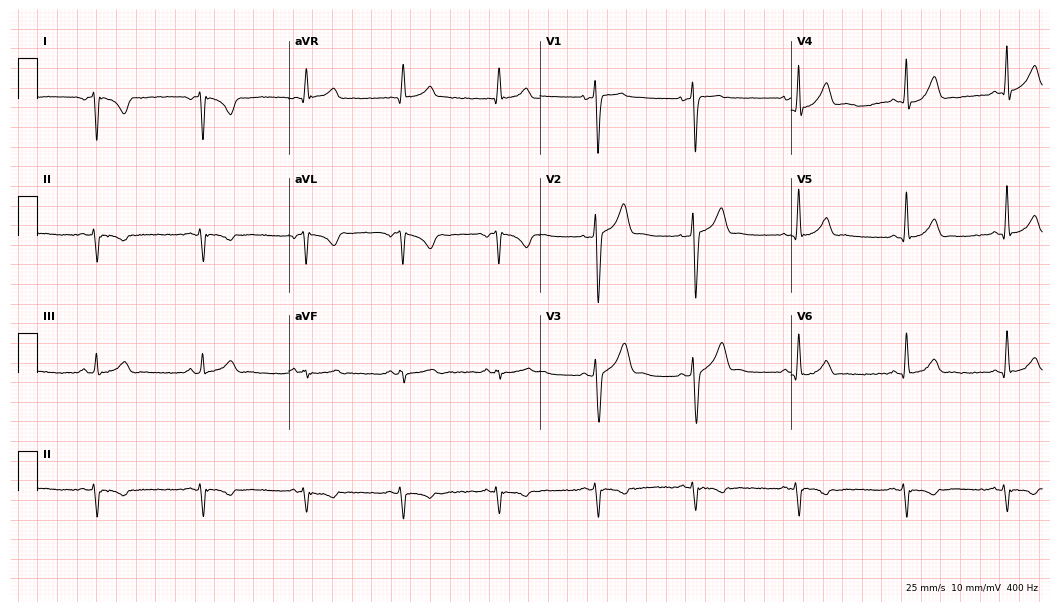
Electrocardiogram (10.2-second recording at 400 Hz), a male patient, 32 years old. Of the six screened findings (first-degree AV block, right bundle branch block, left bundle branch block, sinus bradycardia, atrial fibrillation, sinus tachycardia), none is recorded.